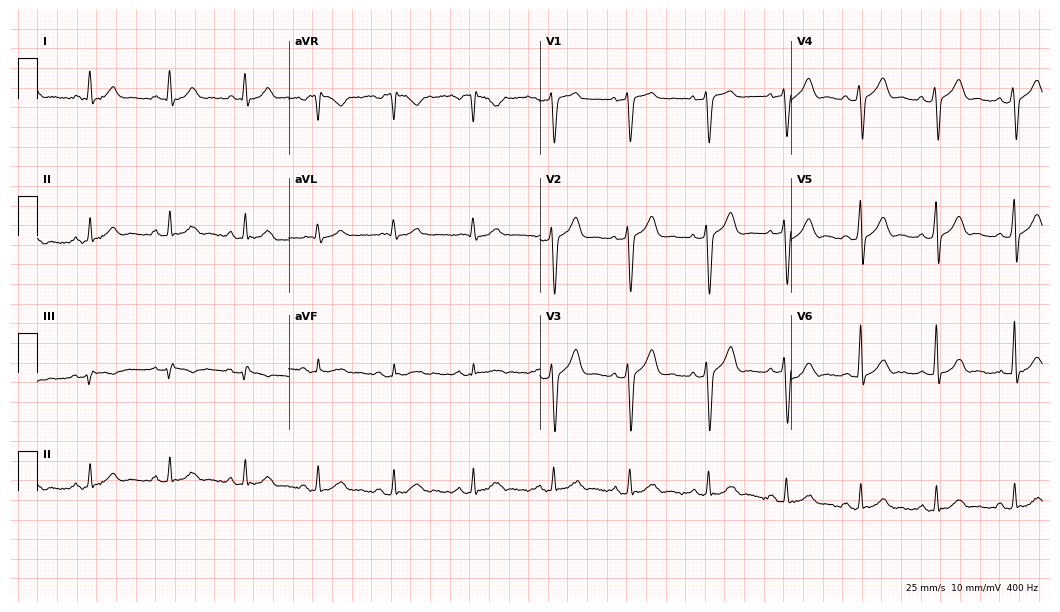
Resting 12-lead electrocardiogram. Patient: a man, 34 years old. Read as a normal ECG.